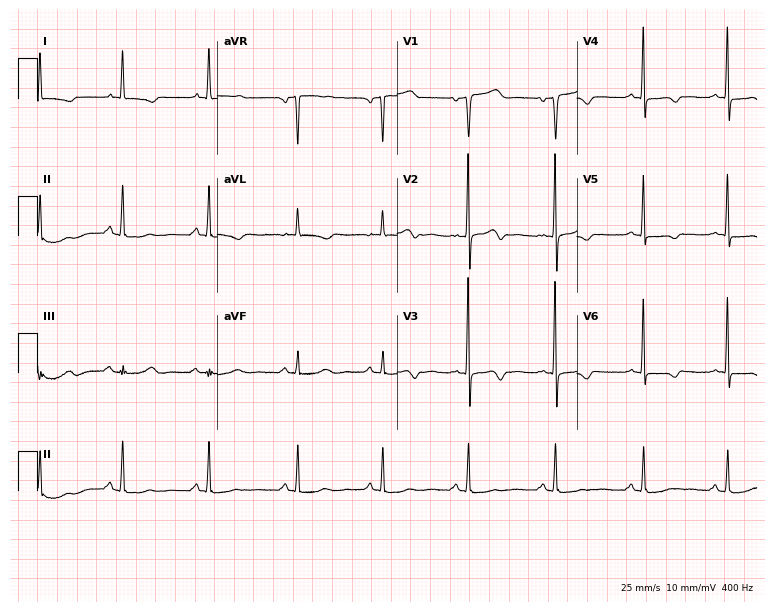
Electrocardiogram, a 49-year-old female. Of the six screened findings (first-degree AV block, right bundle branch block, left bundle branch block, sinus bradycardia, atrial fibrillation, sinus tachycardia), none is recorded. Findings outside these six are not listed.